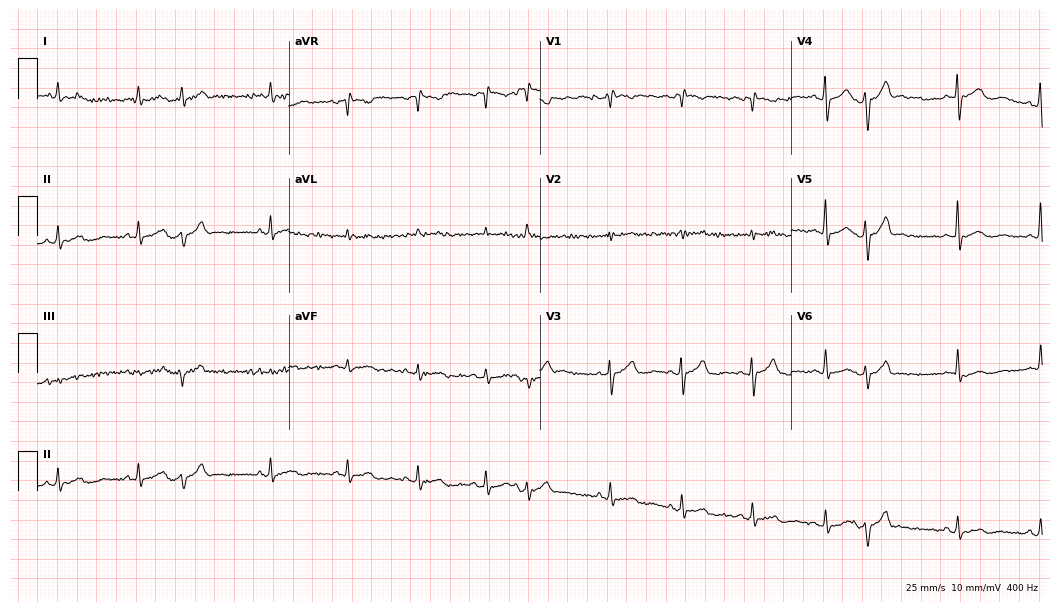
Standard 12-lead ECG recorded from a 62-year-old male patient (10.2-second recording at 400 Hz). None of these six findings is recorded: first-degree AV block, right bundle branch block, left bundle branch block, sinus bradycardia, atrial fibrillation, sinus tachycardia. Only these six findings were labelled.